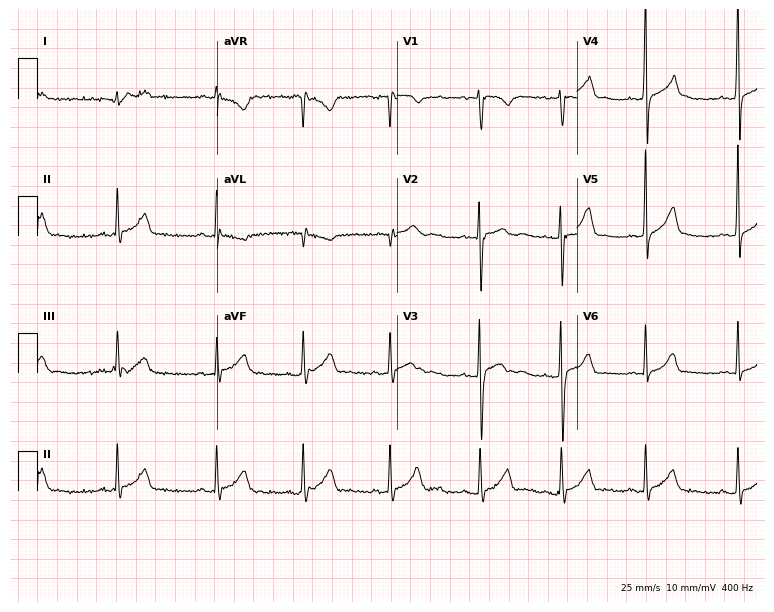
ECG — an 18-year-old man. Labelled as a normal ECG.